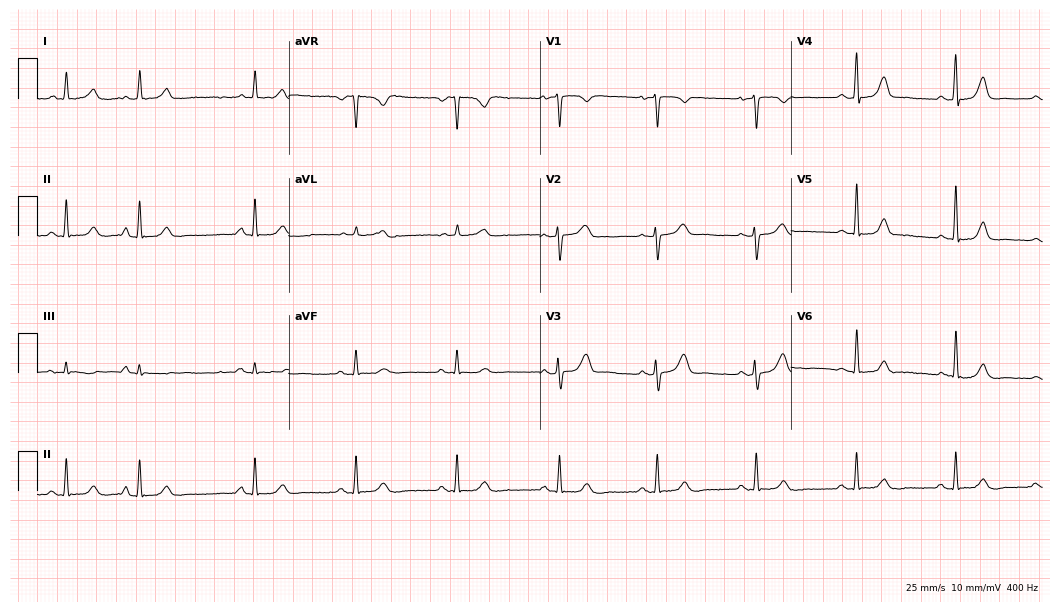
12-lead ECG (10.2-second recording at 400 Hz) from a female patient, 52 years old. Labelled as a normal ECG.